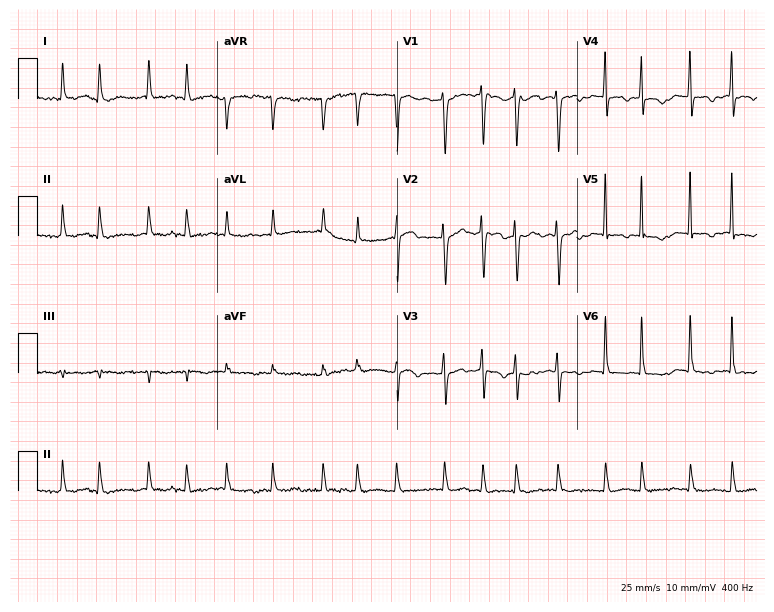
12-lead ECG from a female patient, 77 years old (7.3-second recording at 400 Hz). Shows atrial fibrillation (AF).